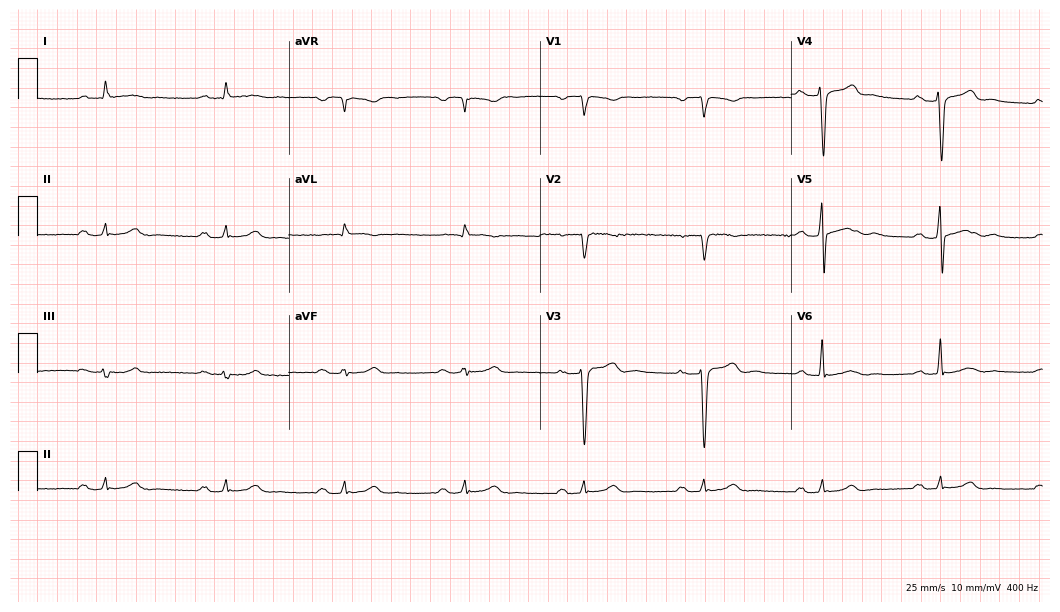
ECG — a 73-year-old man. Screened for six findings — first-degree AV block, right bundle branch block (RBBB), left bundle branch block (LBBB), sinus bradycardia, atrial fibrillation (AF), sinus tachycardia — none is recorded.